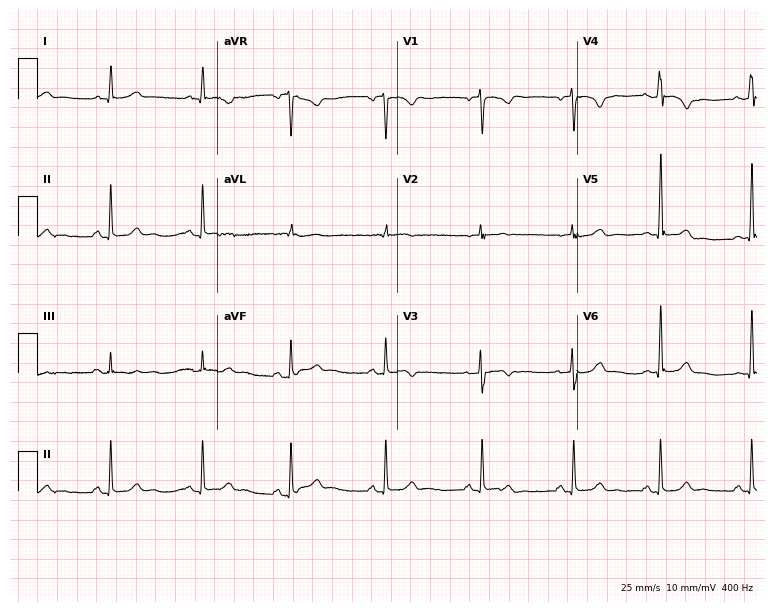
Resting 12-lead electrocardiogram. Patient: a 32-year-old female. None of these six findings is recorded: first-degree AV block, right bundle branch block, left bundle branch block, sinus bradycardia, atrial fibrillation, sinus tachycardia. Only these six findings were labelled.